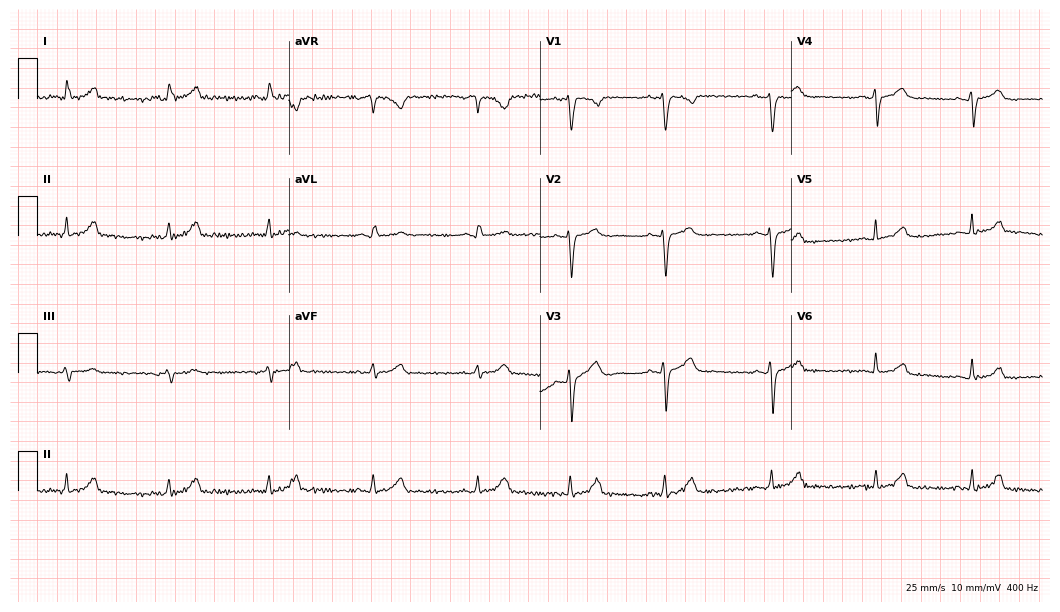
12-lead ECG from a 30-year-old female patient. Labelled as a normal ECG.